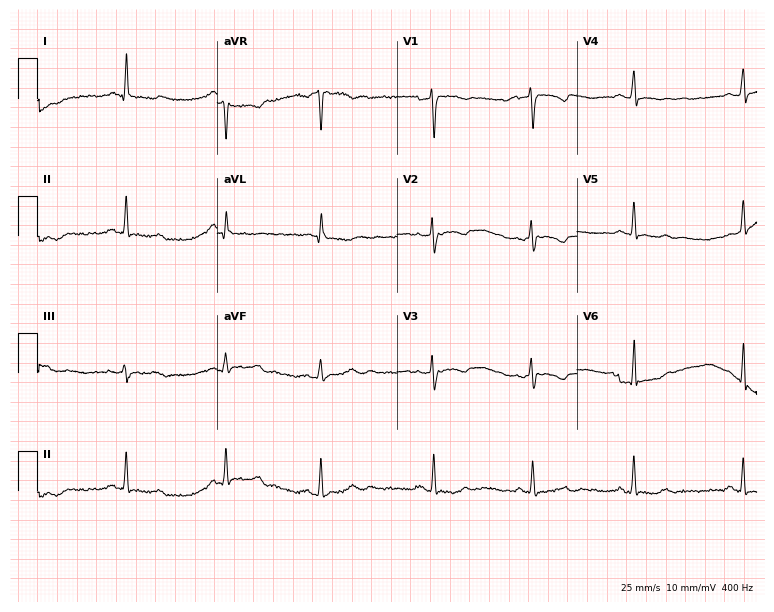
12-lead ECG from a 27-year-old female patient. Screened for six findings — first-degree AV block, right bundle branch block (RBBB), left bundle branch block (LBBB), sinus bradycardia, atrial fibrillation (AF), sinus tachycardia — none is recorded.